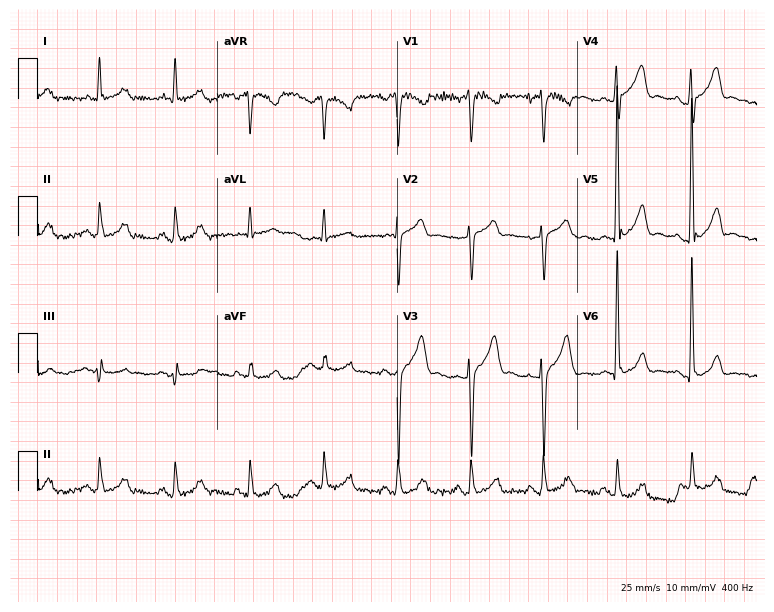
12-lead ECG from a man, 53 years old (7.3-second recording at 400 Hz). No first-degree AV block, right bundle branch block, left bundle branch block, sinus bradycardia, atrial fibrillation or sinus tachycardia recorded for this tracing. Other findings, if any, are not listed.